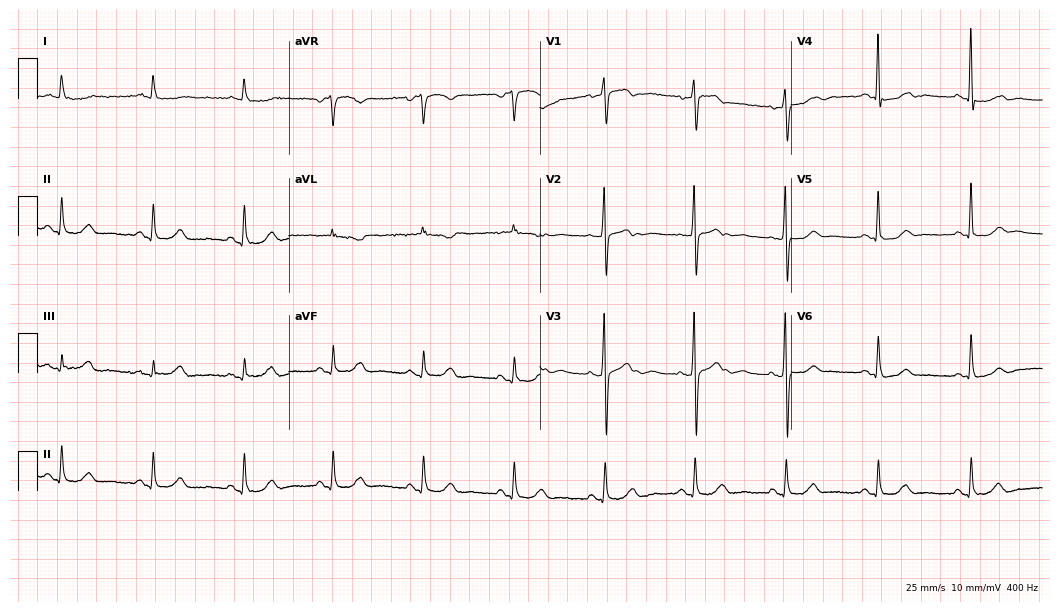
12-lead ECG from a 71-year-old female (10.2-second recording at 400 Hz). No first-degree AV block, right bundle branch block, left bundle branch block, sinus bradycardia, atrial fibrillation or sinus tachycardia recorded for this tracing. Findings outside these six are not listed.